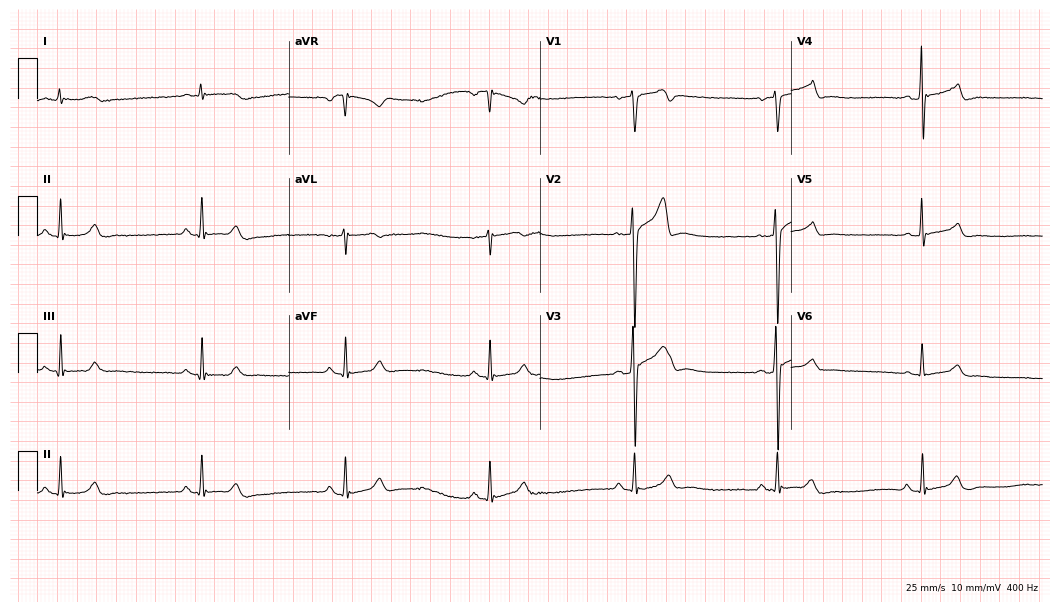
ECG (10.2-second recording at 400 Hz) — a male, 48 years old. Findings include sinus bradycardia (a sinus rate of 50 beats per minute or less).